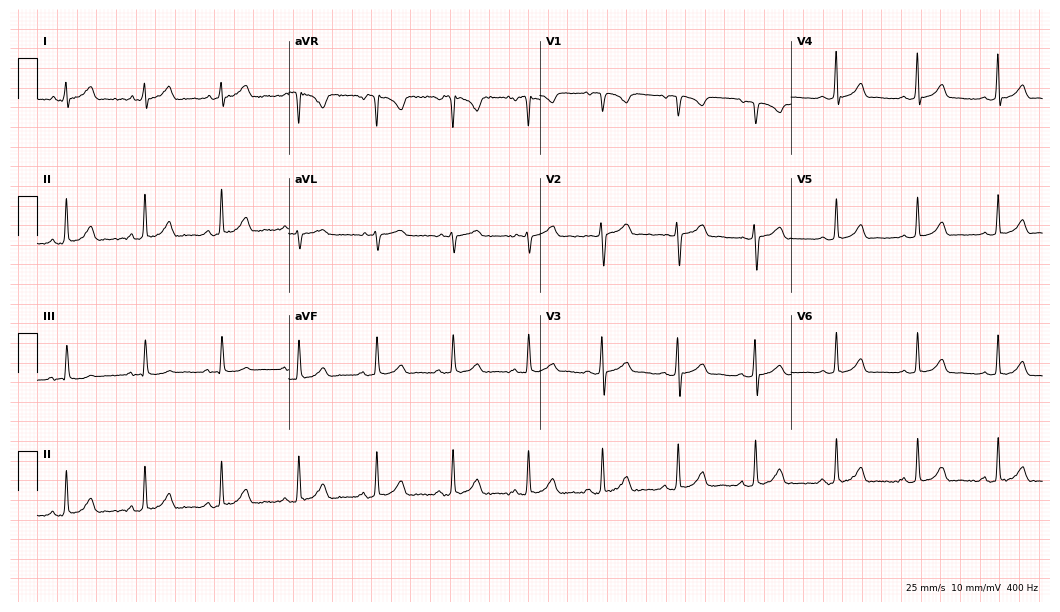
ECG (10.2-second recording at 400 Hz) — a woman, 25 years old. Labelled as a normal ECG.